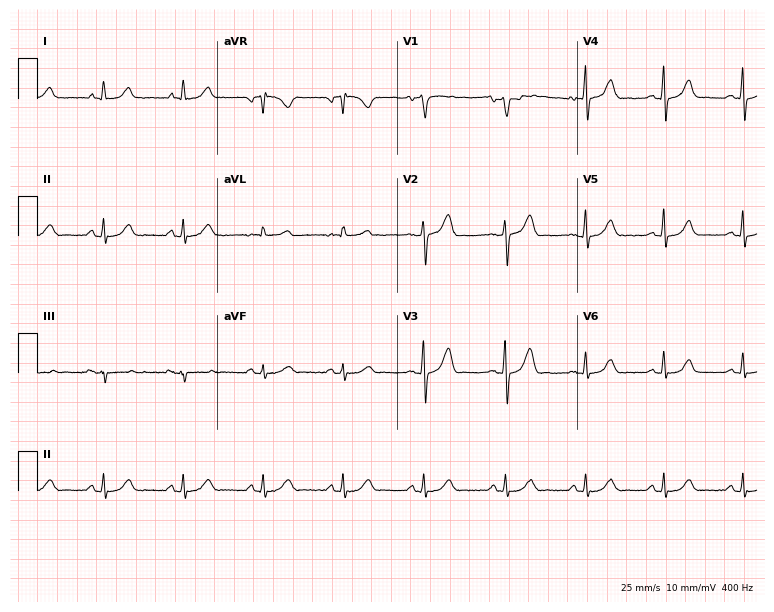
12-lead ECG from a man, 61 years old (7.3-second recording at 400 Hz). Recorded interpretation: within normal limits.